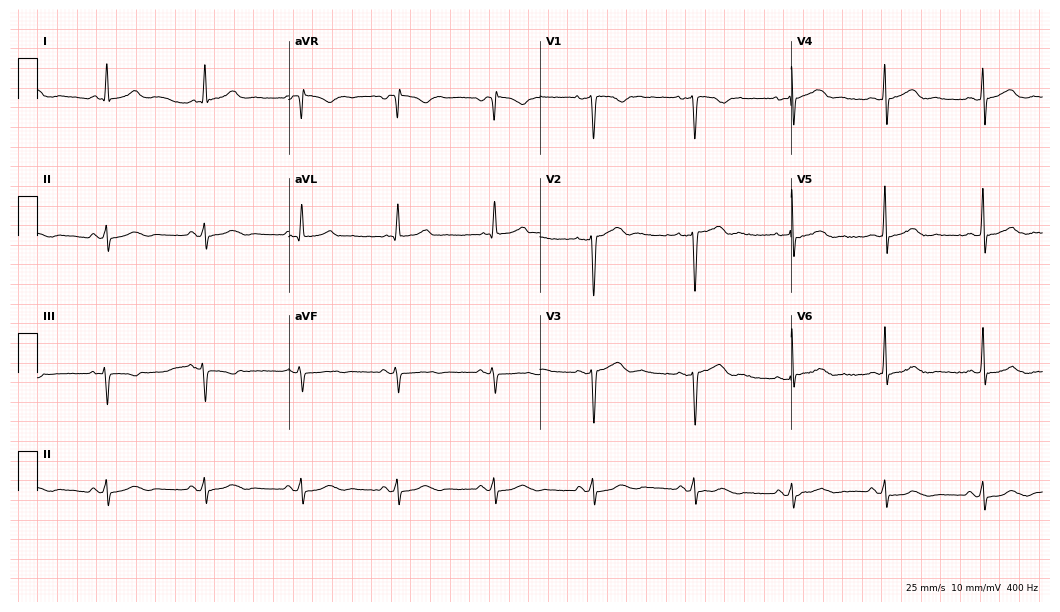
Standard 12-lead ECG recorded from a female patient, 41 years old (10.2-second recording at 400 Hz). Read as a normal ECG.